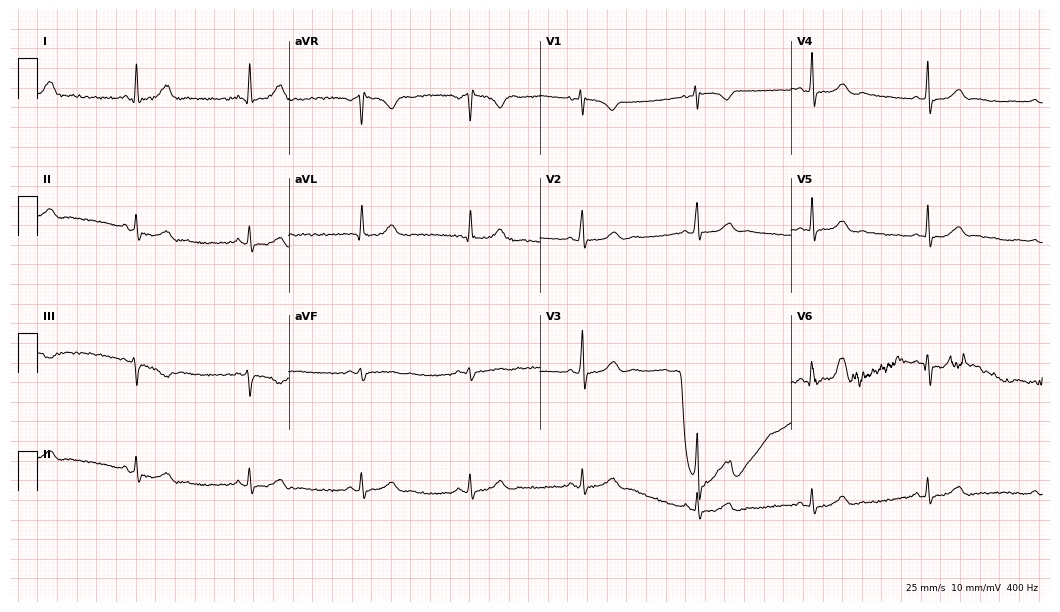
12-lead ECG (10.2-second recording at 400 Hz) from a female, 41 years old. Labelled as a normal ECG.